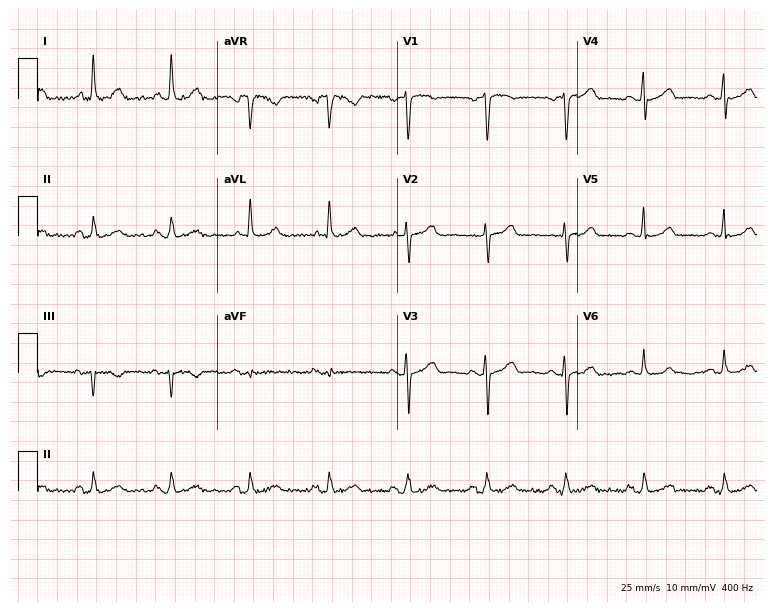
Standard 12-lead ECG recorded from a 71-year-old woman. Read as a normal ECG.